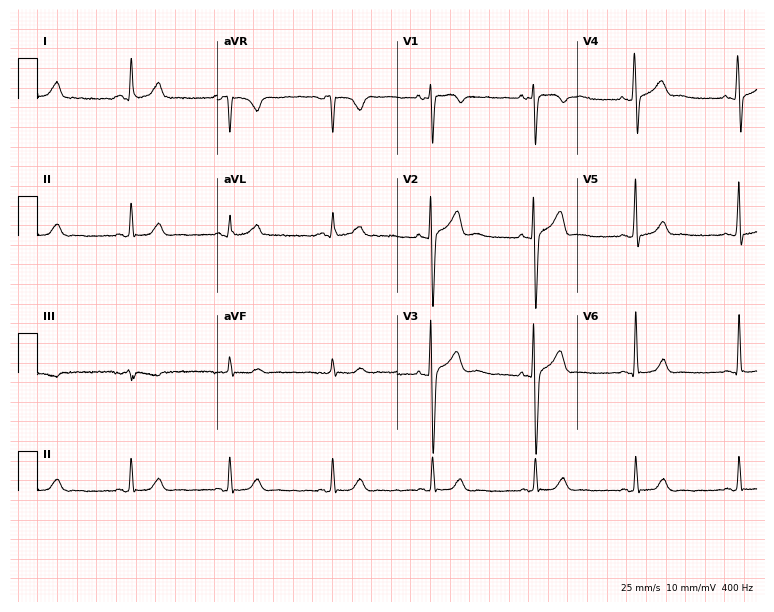
12-lead ECG from a 26-year-old man. Labelled as a normal ECG.